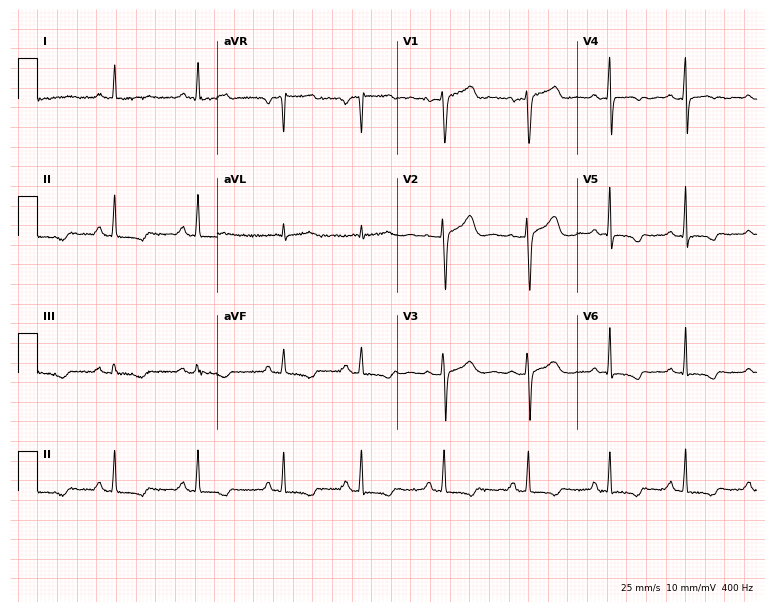
Electrocardiogram, a 45-year-old woman. Of the six screened findings (first-degree AV block, right bundle branch block, left bundle branch block, sinus bradycardia, atrial fibrillation, sinus tachycardia), none is recorded.